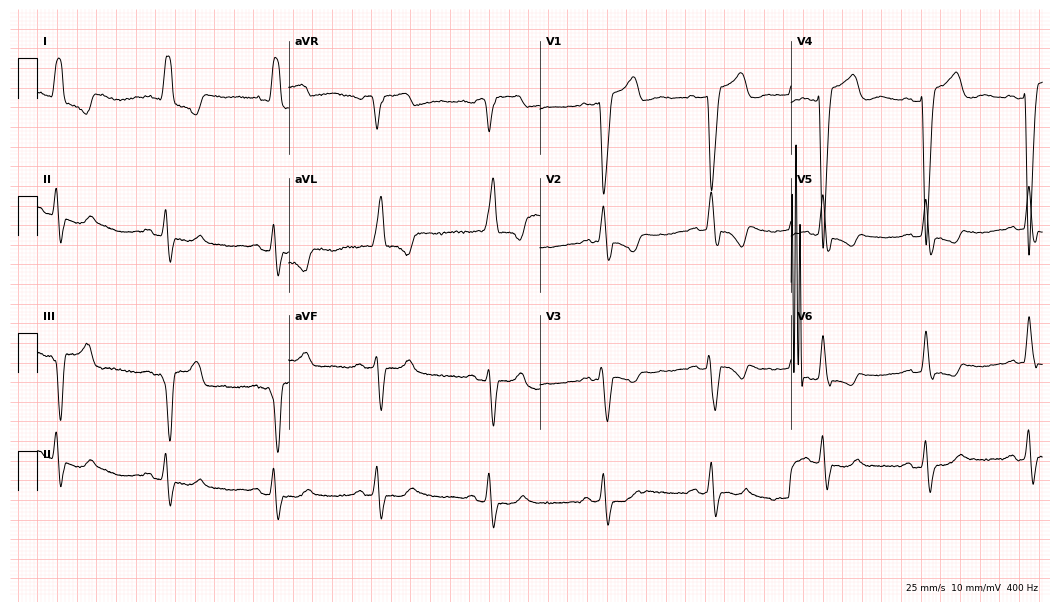
12-lead ECG from an 85-year-old female patient. Findings include left bundle branch block.